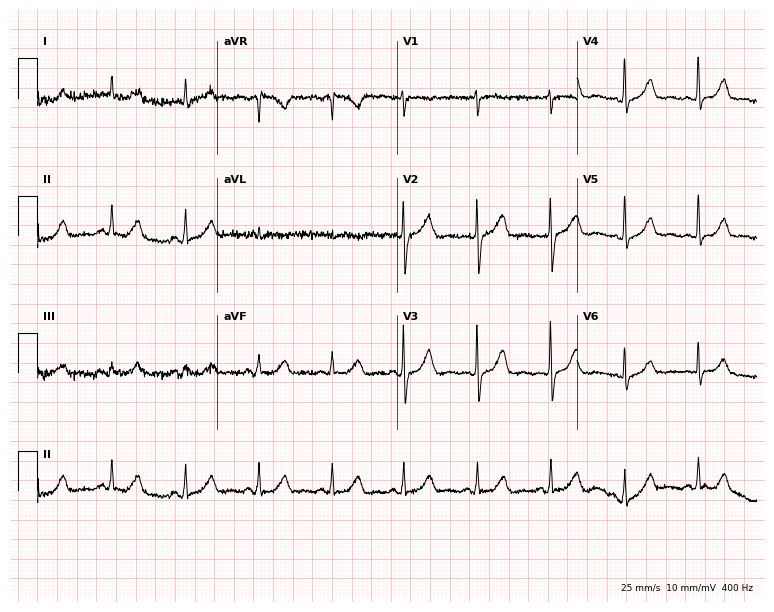
ECG — a female, 81 years old. Screened for six findings — first-degree AV block, right bundle branch block, left bundle branch block, sinus bradycardia, atrial fibrillation, sinus tachycardia — none is recorded.